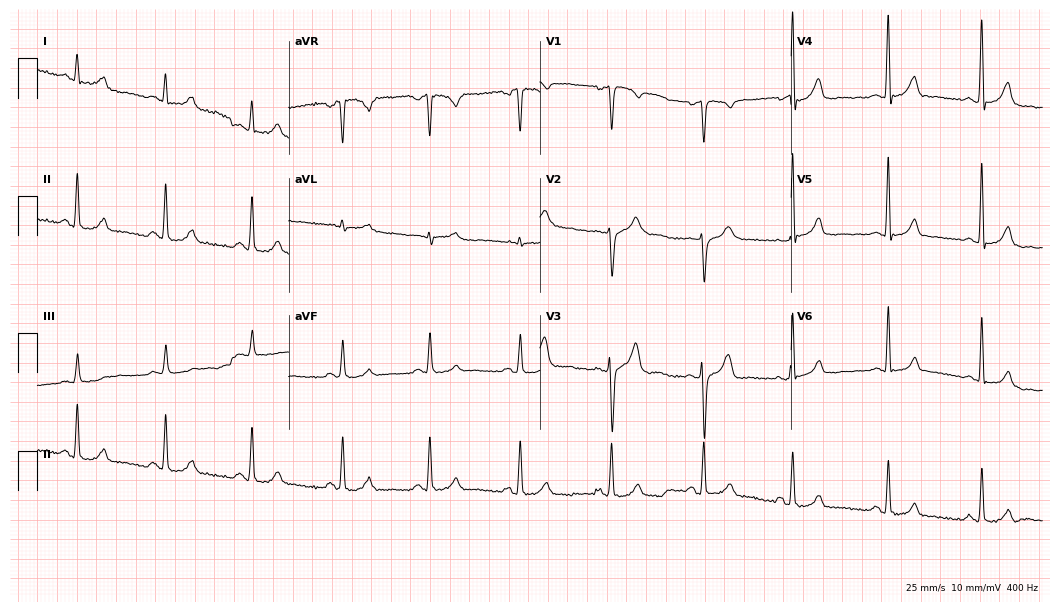
Electrocardiogram, a male, 47 years old. Of the six screened findings (first-degree AV block, right bundle branch block, left bundle branch block, sinus bradycardia, atrial fibrillation, sinus tachycardia), none is recorded.